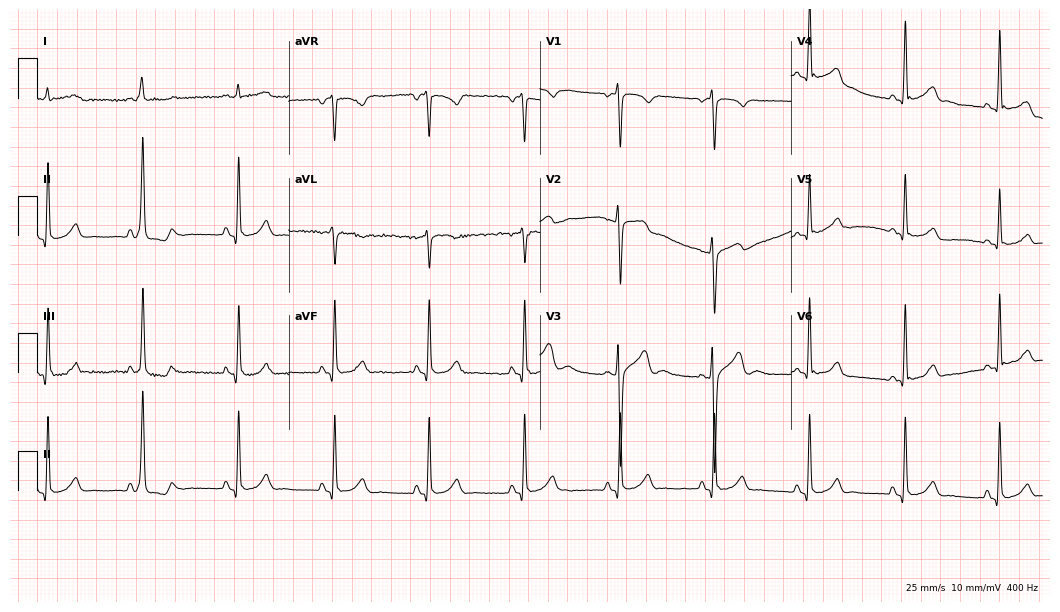
12-lead ECG (10.2-second recording at 400 Hz) from a 40-year-old man. Labelled as a normal ECG.